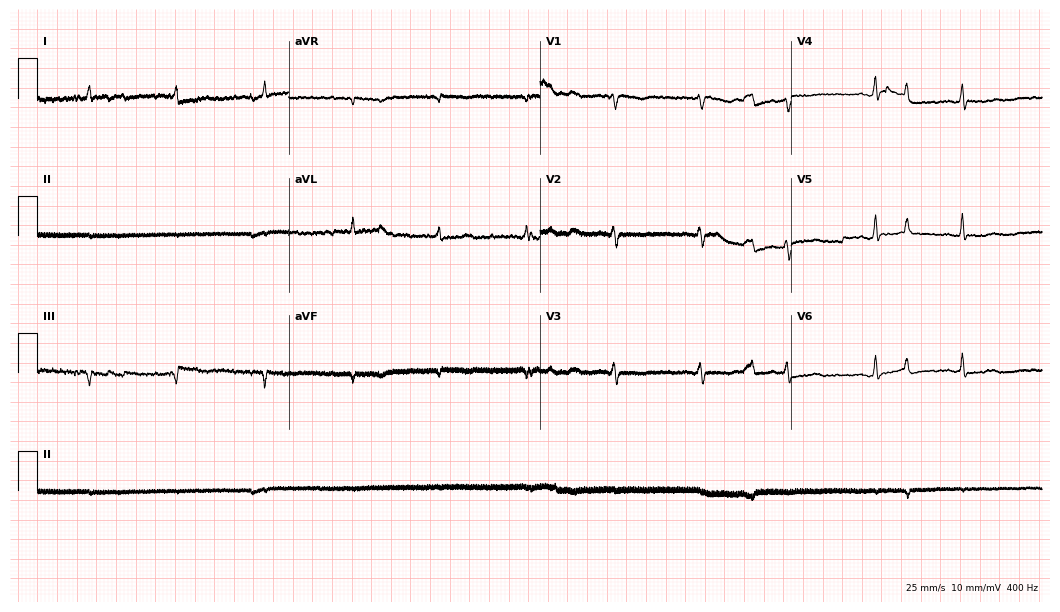
12-lead ECG from a 67-year-old female patient. No first-degree AV block, right bundle branch block (RBBB), left bundle branch block (LBBB), sinus bradycardia, atrial fibrillation (AF) or sinus tachycardia recorded for this tracing.